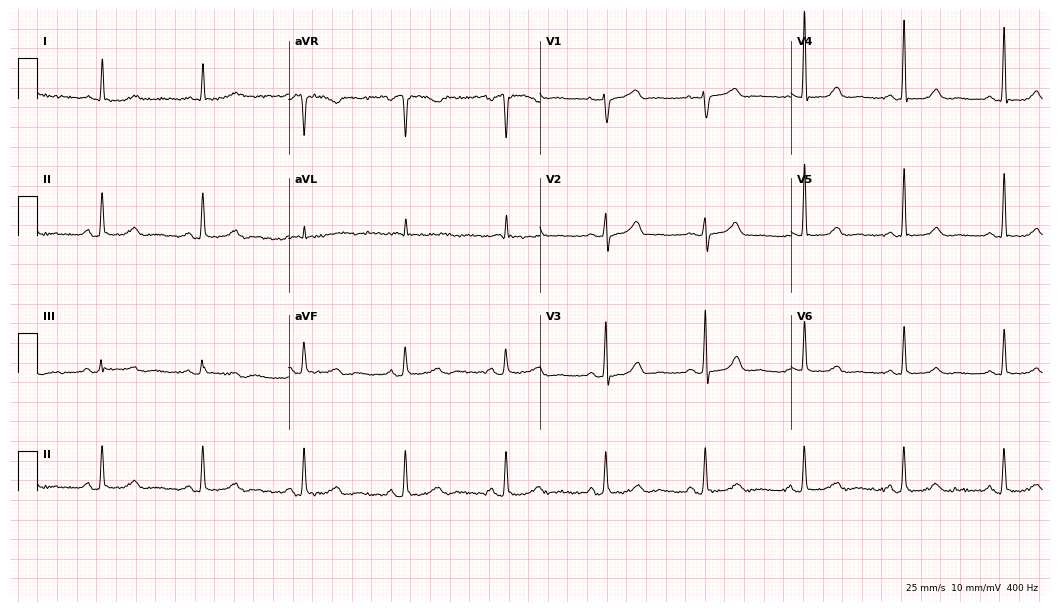
ECG (10.2-second recording at 400 Hz) — a 74-year-old woman. Labelled as a normal ECG.